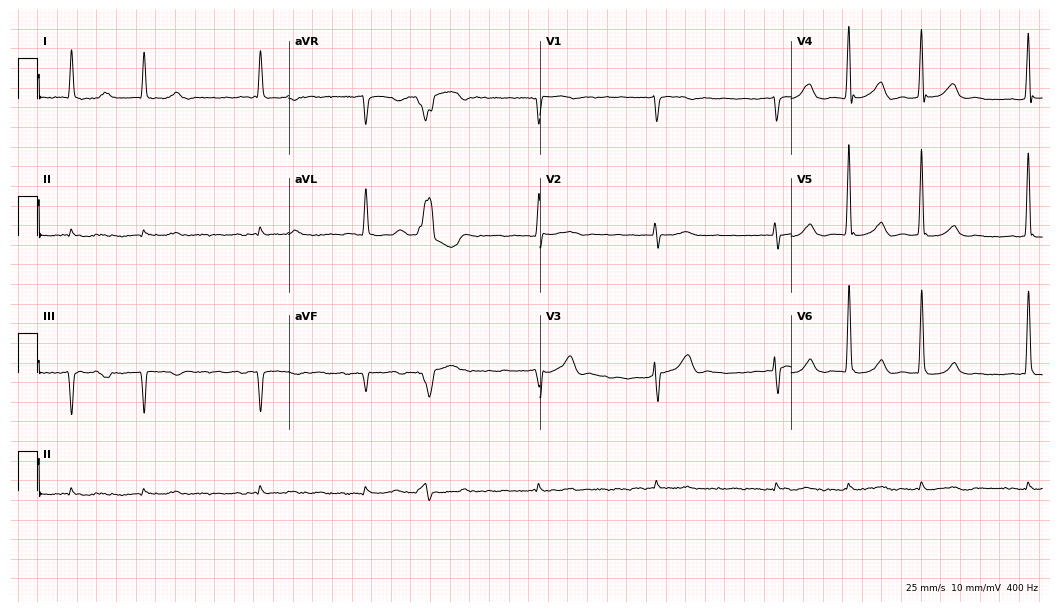
Standard 12-lead ECG recorded from an 81-year-old male patient (10.2-second recording at 400 Hz). The tracing shows atrial fibrillation (AF).